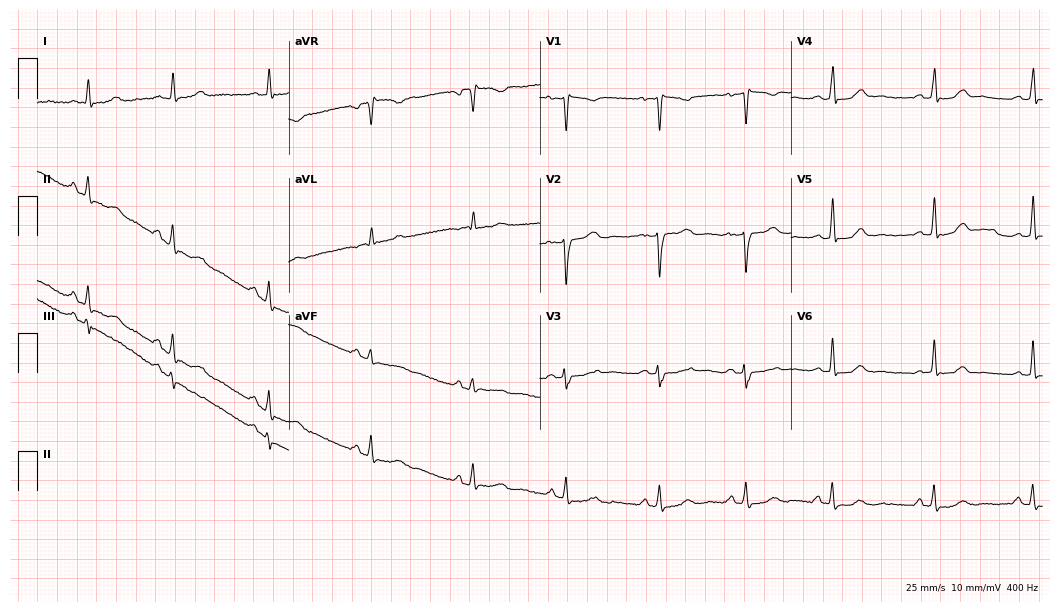
ECG — a female, 31 years old. Screened for six findings — first-degree AV block, right bundle branch block (RBBB), left bundle branch block (LBBB), sinus bradycardia, atrial fibrillation (AF), sinus tachycardia — none is recorded. Other findings, if any, are not listed.